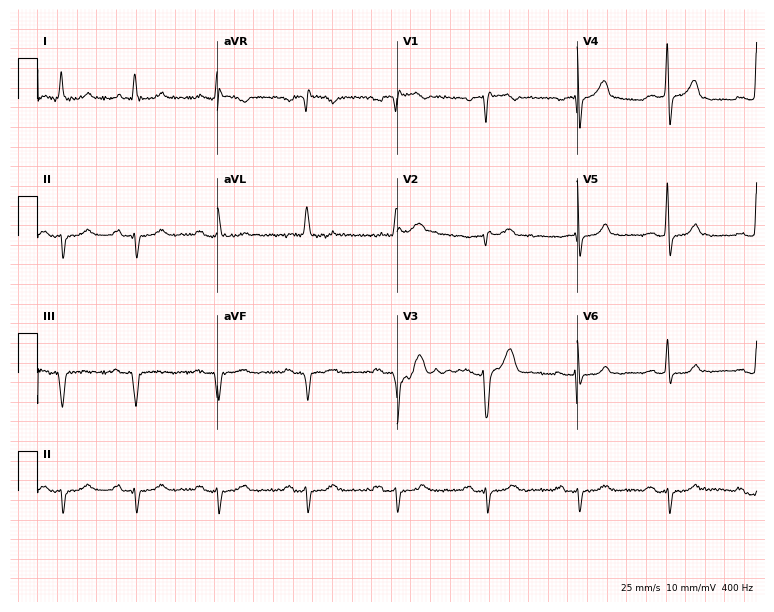
Standard 12-lead ECG recorded from a male patient, 69 years old. None of these six findings is recorded: first-degree AV block, right bundle branch block (RBBB), left bundle branch block (LBBB), sinus bradycardia, atrial fibrillation (AF), sinus tachycardia. Findings outside these six are not listed.